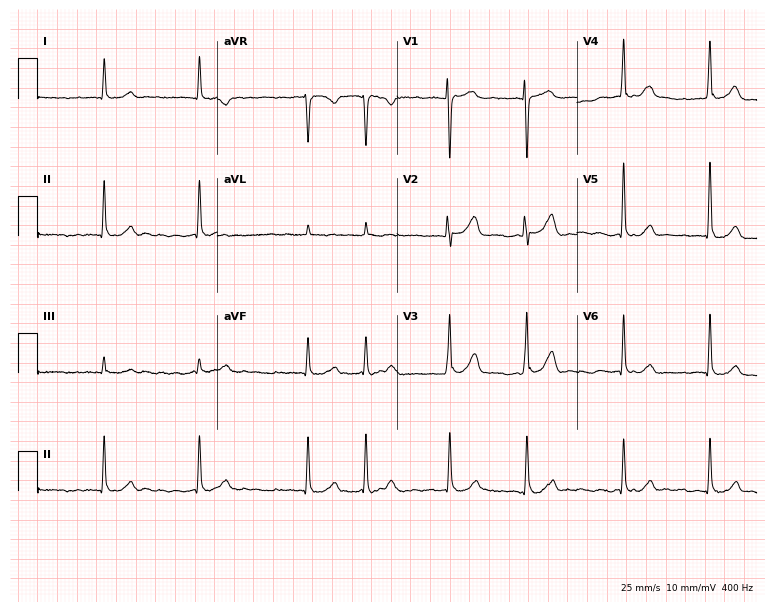
Electrocardiogram (7.3-second recording at 400 Hz), a woman, 82 years old. Interpretation includes atrial fibrillation (AF).